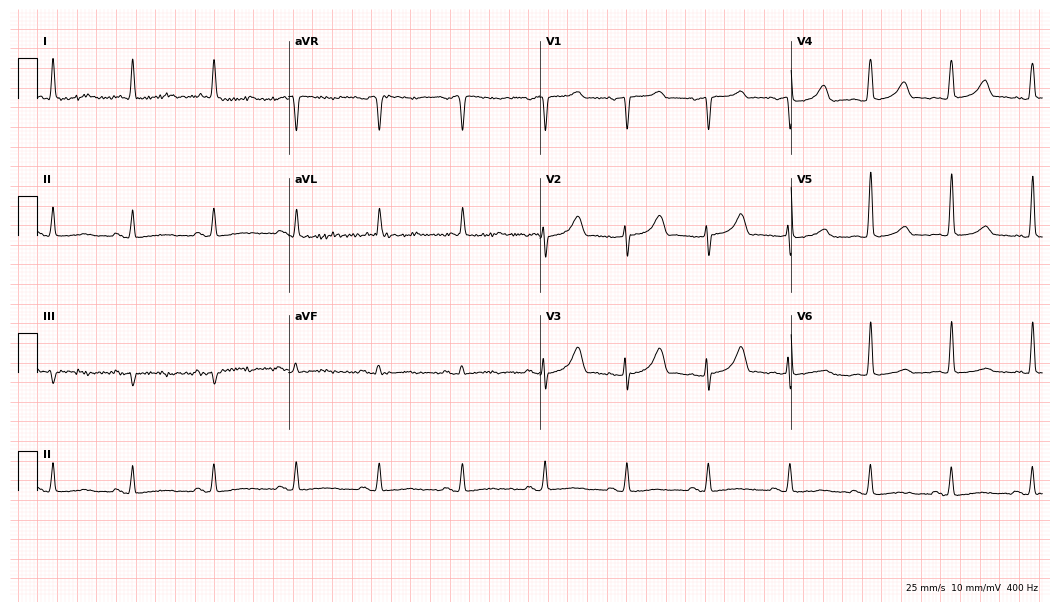
12-lead ECG from a woman, 64 years old. Labelled as a normal ECG.